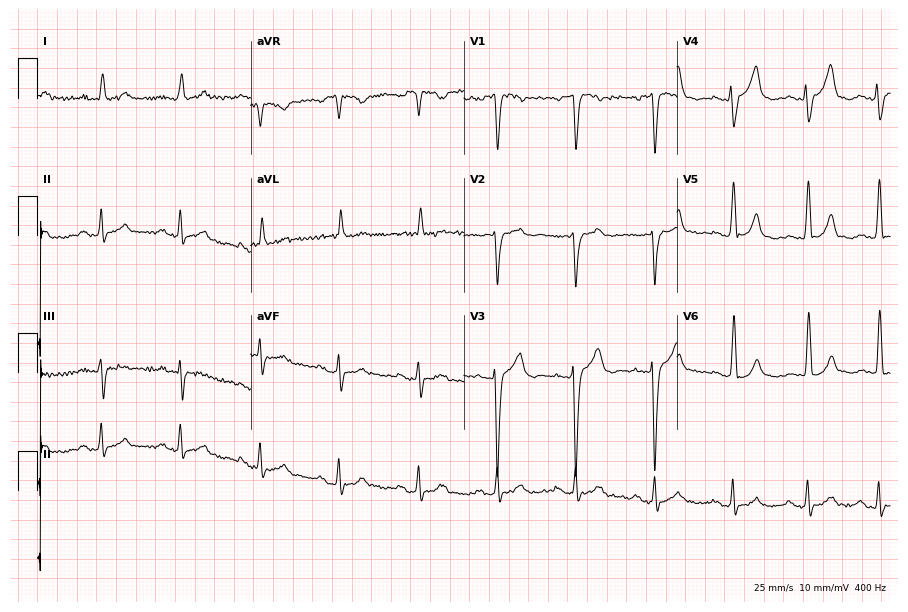
12-lead ECG from a 74-year-old man. Screened for six findings — first-degree AV block, right bundle branch block, left bundle branch block, sinus bradycardia, atrial fibrillation, sinus tachycardia — none is recorded.